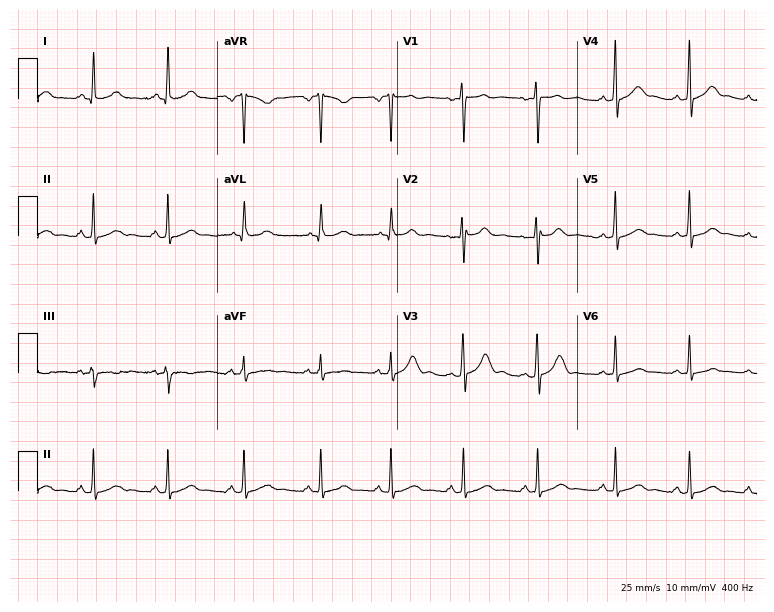
Standard 12-lead ECG recorded from a female, 22 years old. Read as a normal ECG.